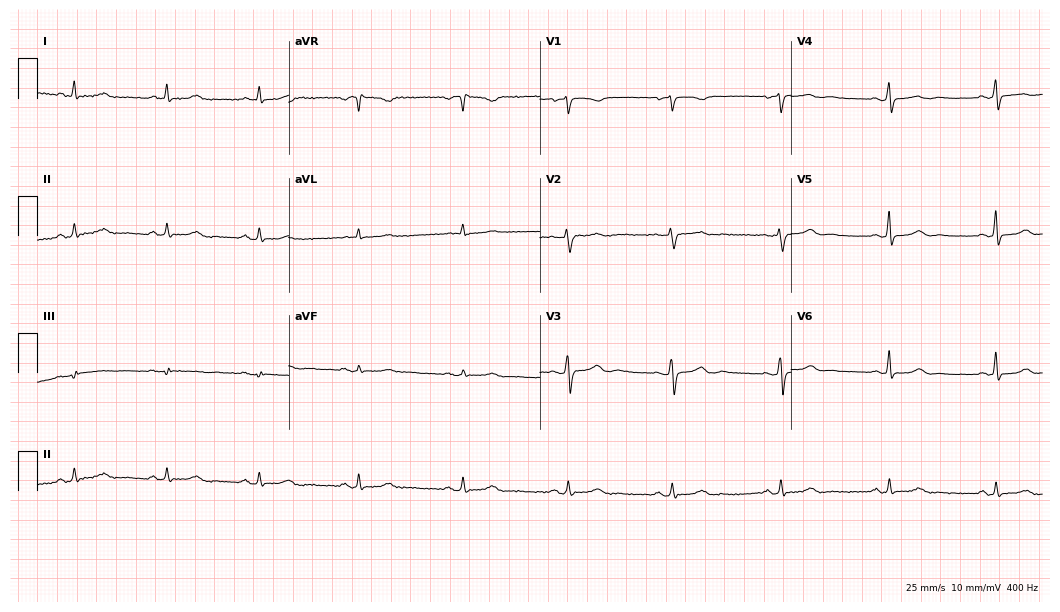
Resting 12-lead electrocardiogram (10.2-second recording at 400 Hz). Patient: a female, 37 years old. Read as a normal ECG.